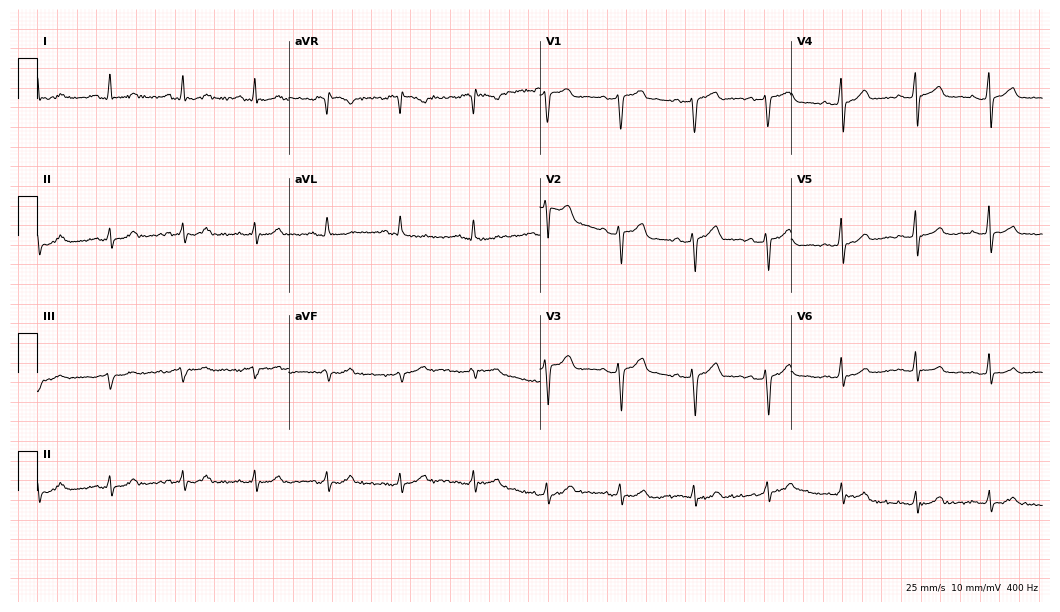
Electrocardiogram, a female, 53 years old. Of the six screened findings (first-degree AV block, right bundle branch block, left bundle branch block, sinus bradycardia, atrial fibrillation, sinus tachycardia), none is recorded.